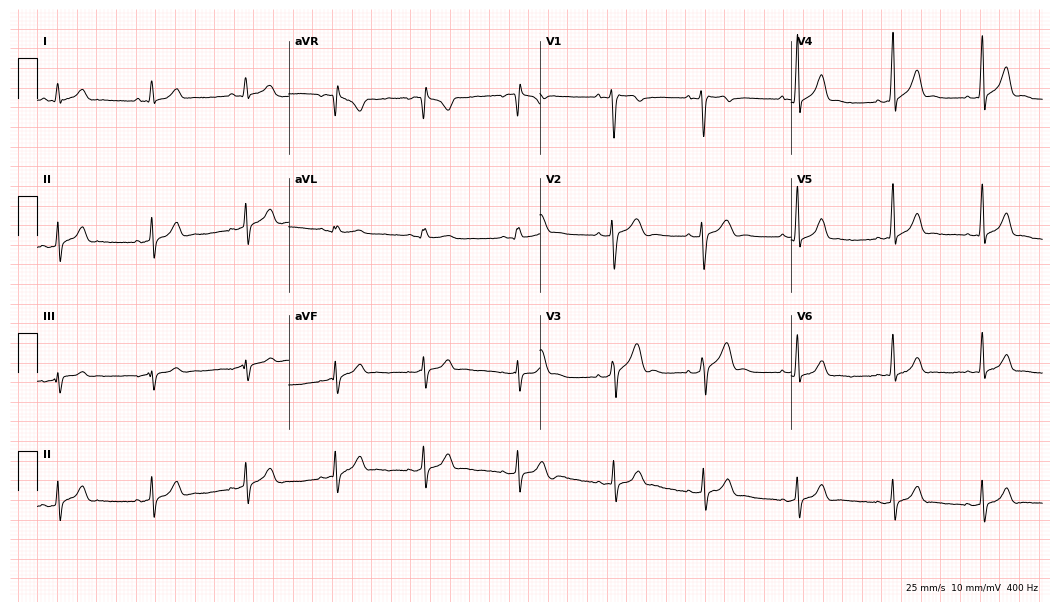
ECG (10.2-second recording at 400 Hz) — a 21-year-old male patient. Labelled as a normal ECG.